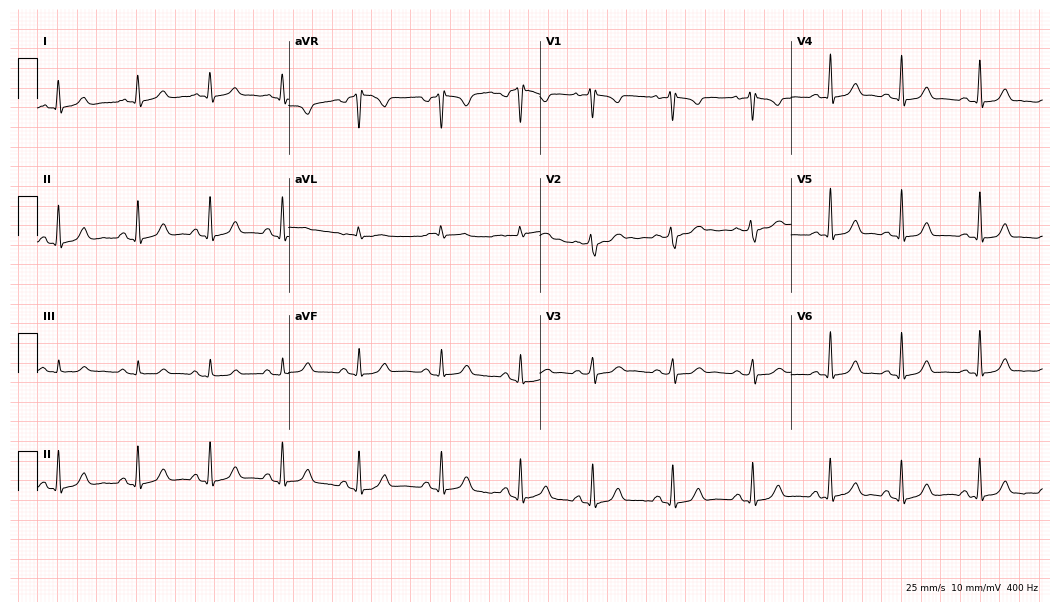
Resting 12-lead electrocardiogram. Patient: a female, 25 years old. Read as a normal ECG.